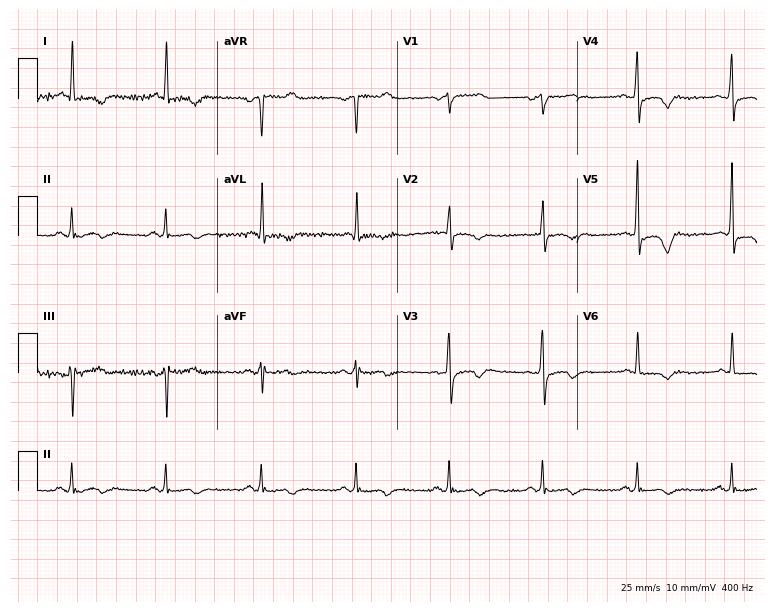
12-lead ECG from a female, 75 years old. Screened for six findings — first-degree AV block, right bundle branch block, left bundle branch block, sinus bradycardia, atrial fibrillation, sinus tachycardia — none is recorded.